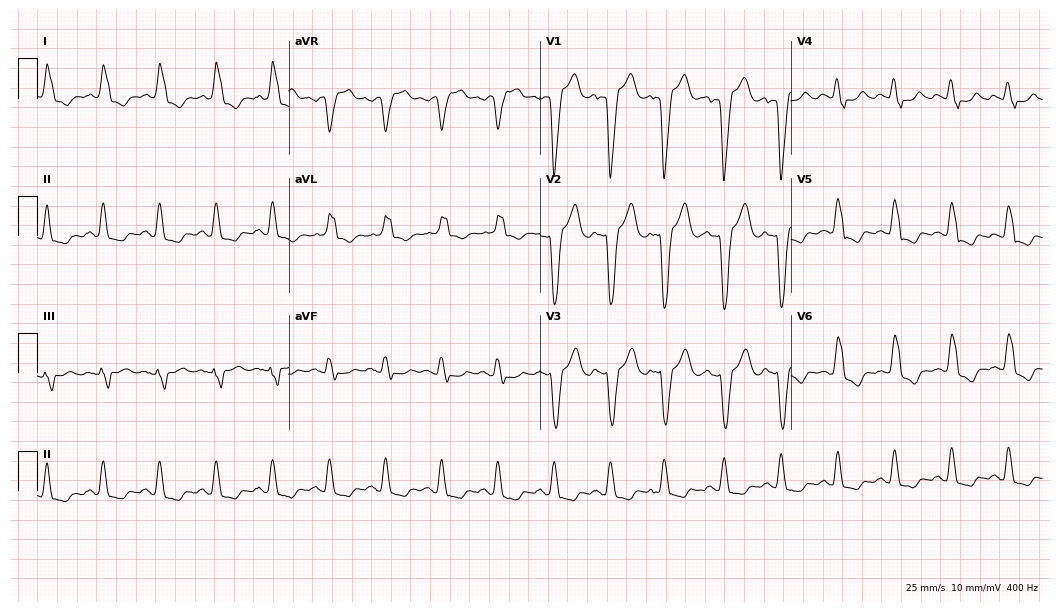
12-lead ECG from a female, 61 years old. Shows left bundle branch block, sinus tachycardia (a sinus rate of 100 beats per minute or more).